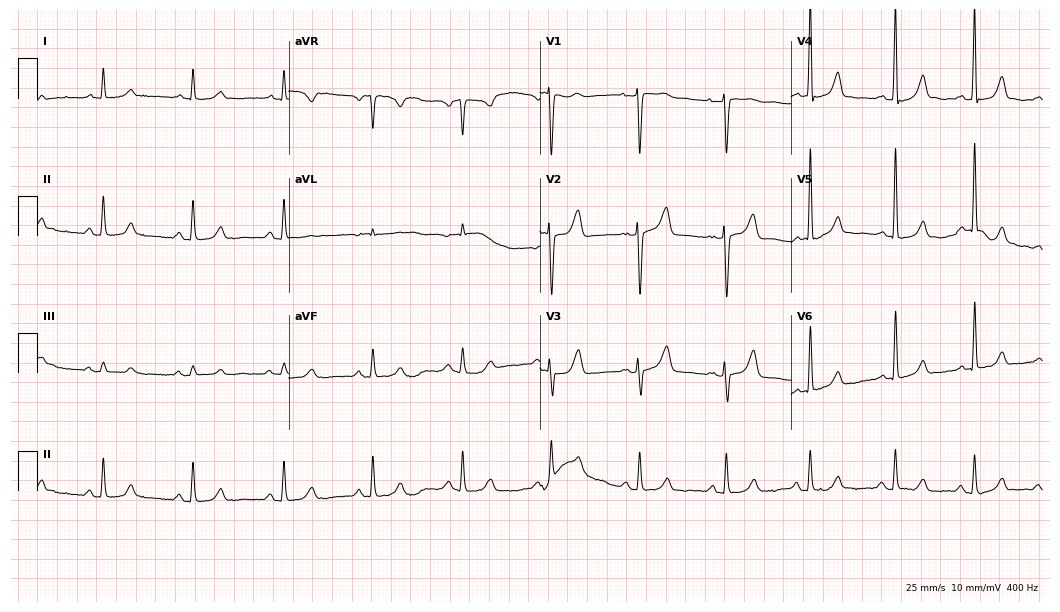
12-lead ECG (10.2-second recording at 400 Hz) from a 68-year-old female patient. Labelled as a normal ECG.